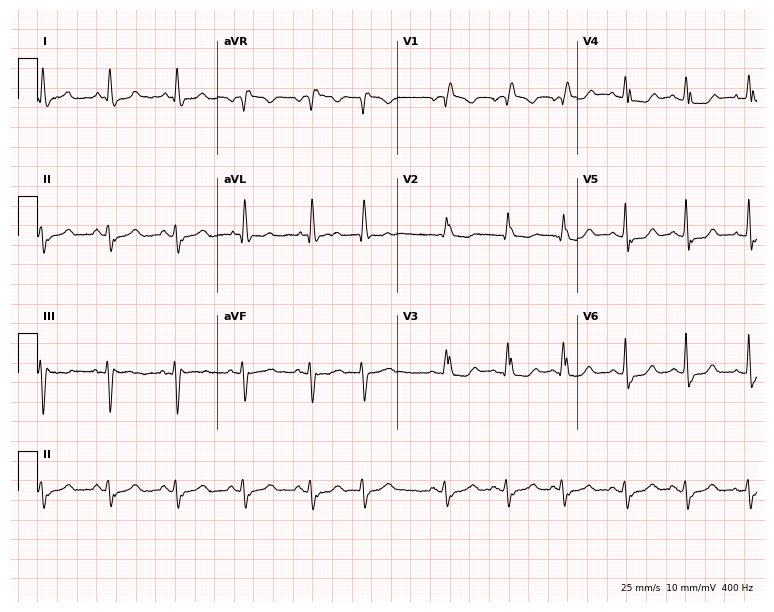
Resting 12-lead electrocardiogram. Patient: a woman, 71 years old. The tracing shows right bundle branch block.